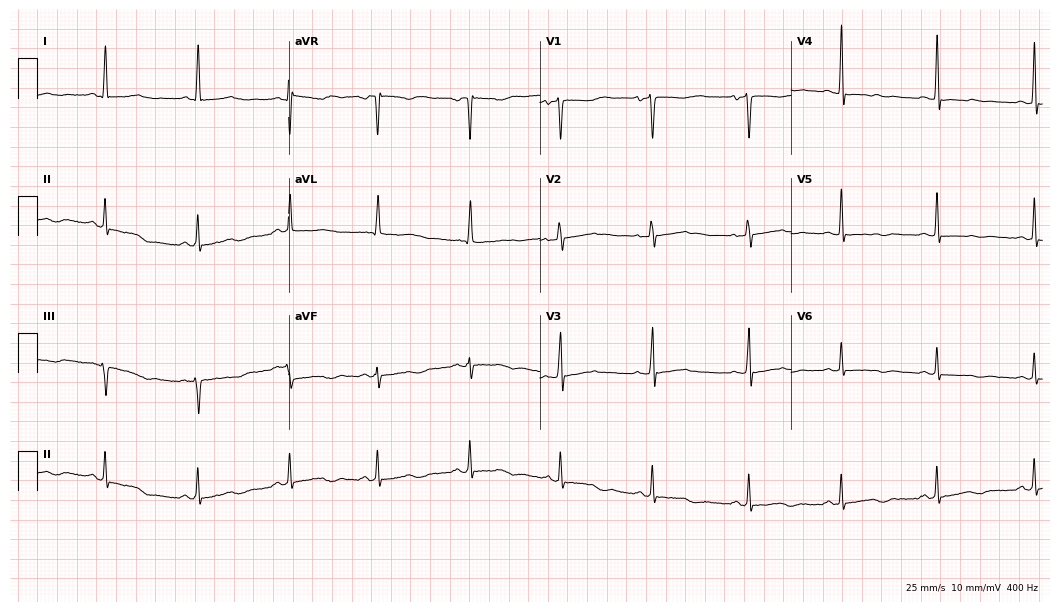
Standard 12-lead ECG recorded from a 37-year-old female (10.2-second recording at 400 Hz). None of these six findings is recorded: first-degree AV block, right bundle branch block, left bundle branch block, sinus bradycardia, atrial fibrillation, sinus tachycardia. Only these six findings were labelled.